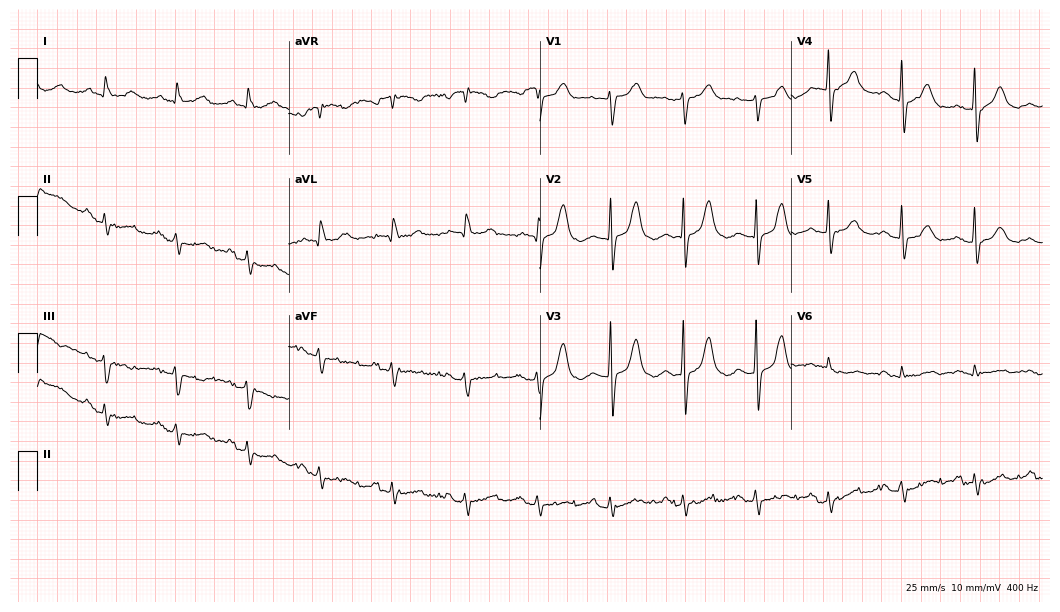
Standard 12-lead ECG recorded from an 83-year-old female (10.2-second recording at 400 Hz). Read as a normal ECG.